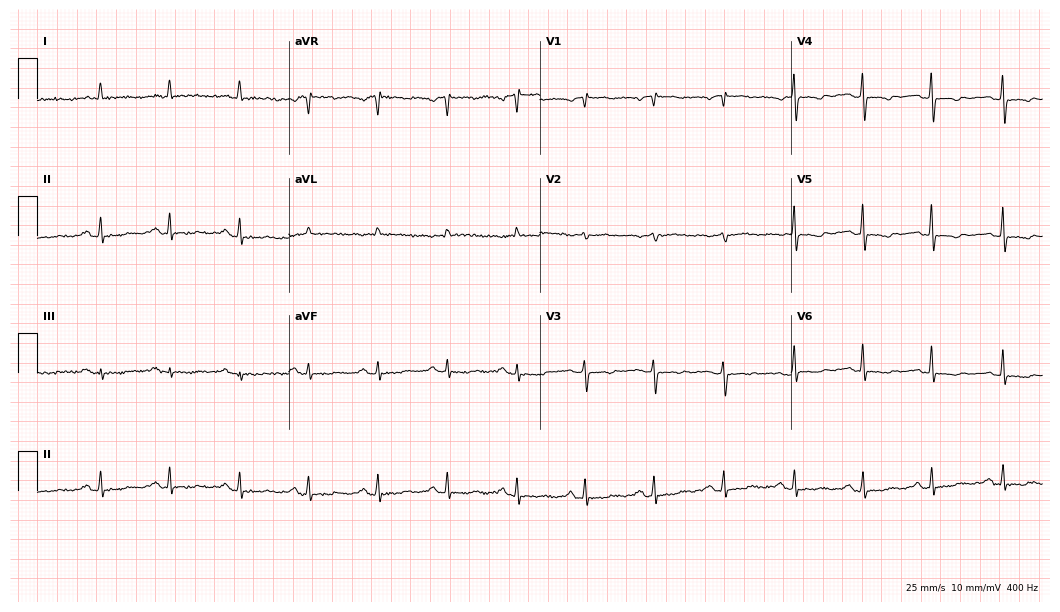
ECG (10.2-second recording at 400 Hz) — a woman, 78 years old. Screened for six findings — first-degree AV block, right bundle branch block, left bundle branch block, sinus bradycardia, atrial fibrillation, sinus tachycardia — none is recorded.